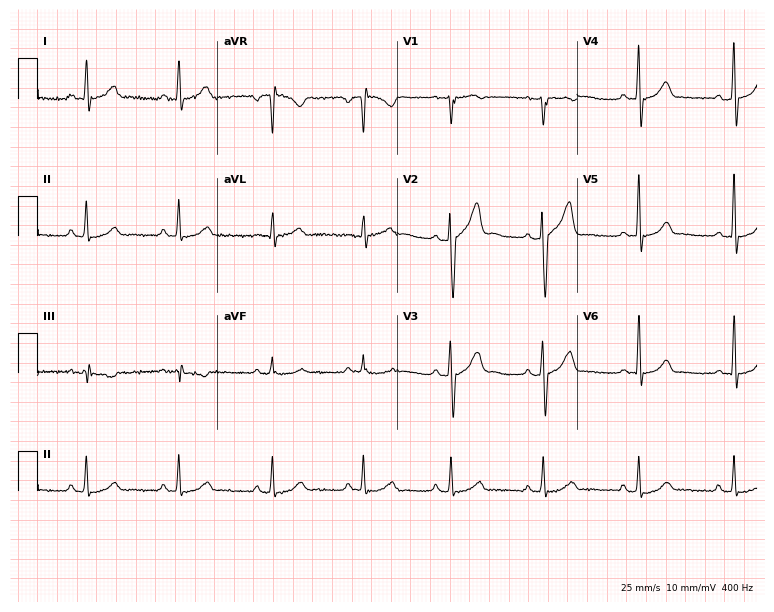
Standard 12-lead ECG recorded from a man, 42 years old. Read as a normal ECG.